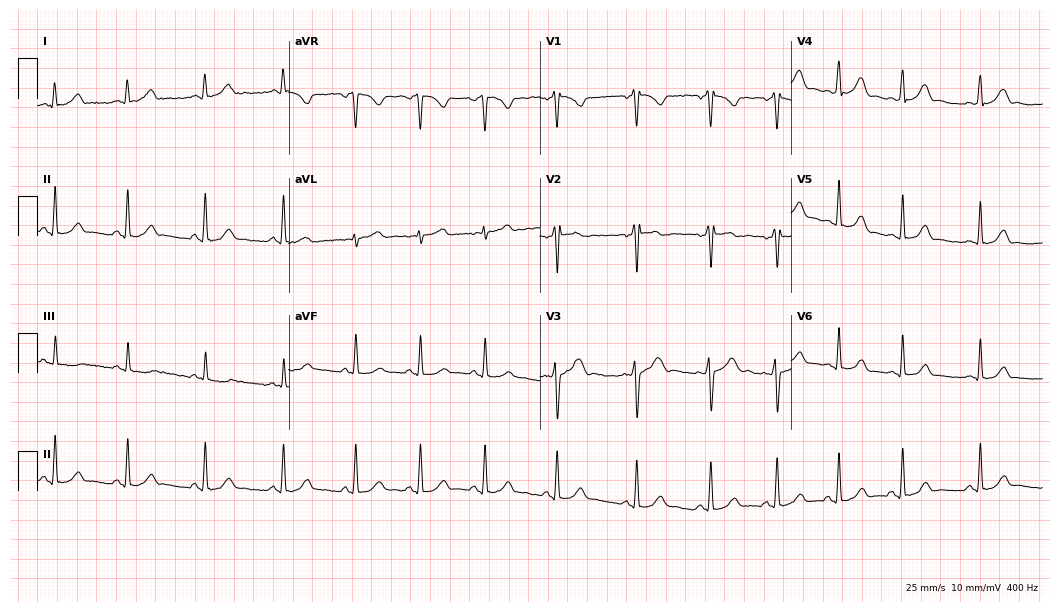
12-lead ECG (10.2-second recording at 400 Hz) from a 22-year-old female patient. Screened for six findings — first-degree AV block, right bundle branch block, left bundle branch block, sinus bradycardia, atrial fibrillation, sinus tachycardia — none is recorded. Findings outside these six are not listed.